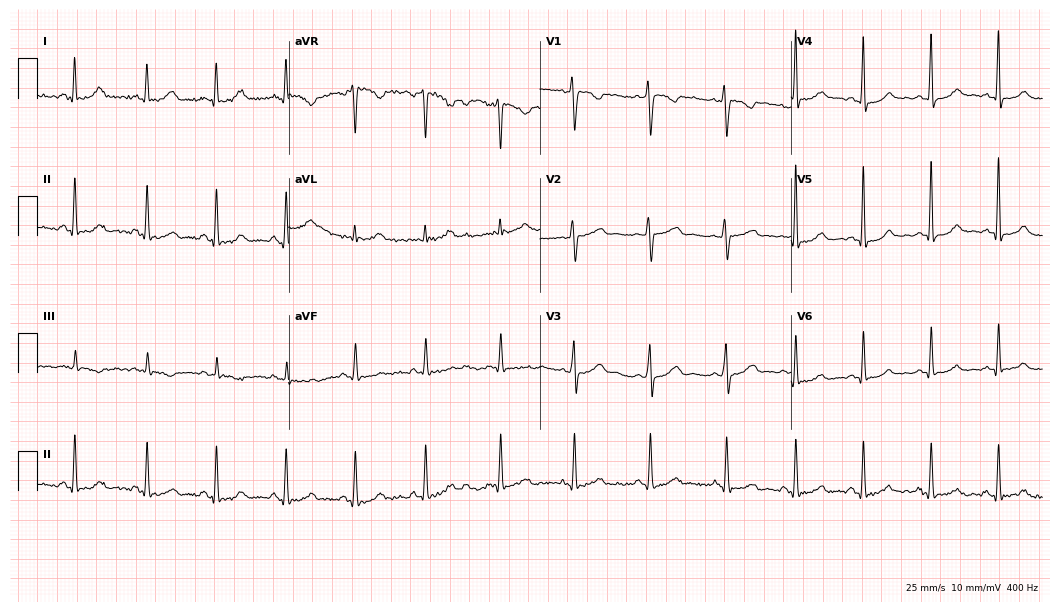
Electrocardiogram, a female, 35 years old. Of the six screened findings (first-degree AV block, right bundle branch block, left bundle branch block, sinus bradycardia, atrial fibrillation, sinus tachycardia), none is recorded.